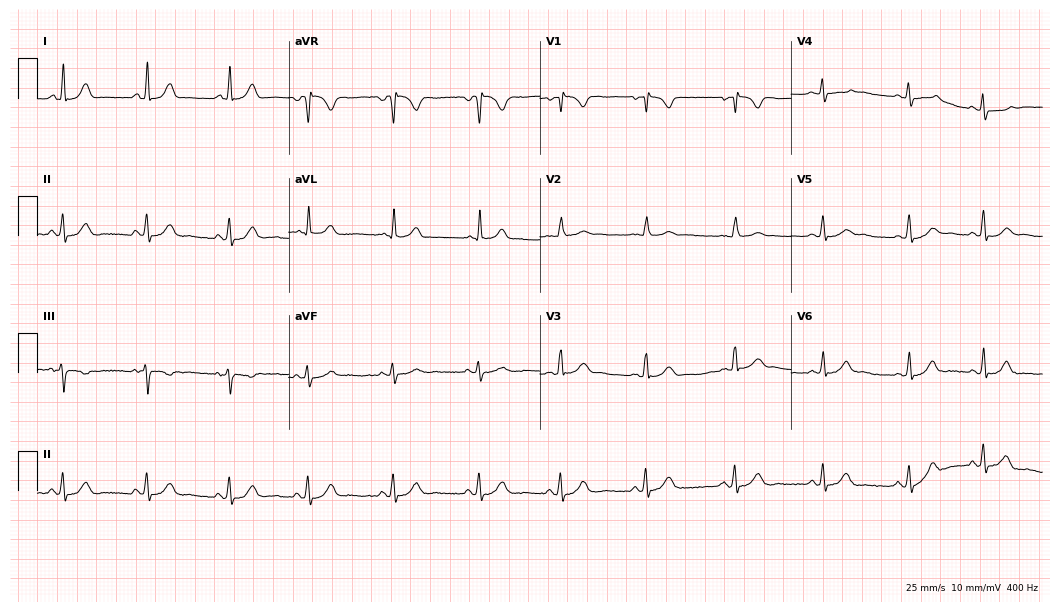
ECG — a female patient, 29 years old. Screened for six findings — first-degree AV block, right bundle branch block, left bundle branch block, sinus bradycardia, atrial fibrillation, sinus tachycardia — none is recorded.